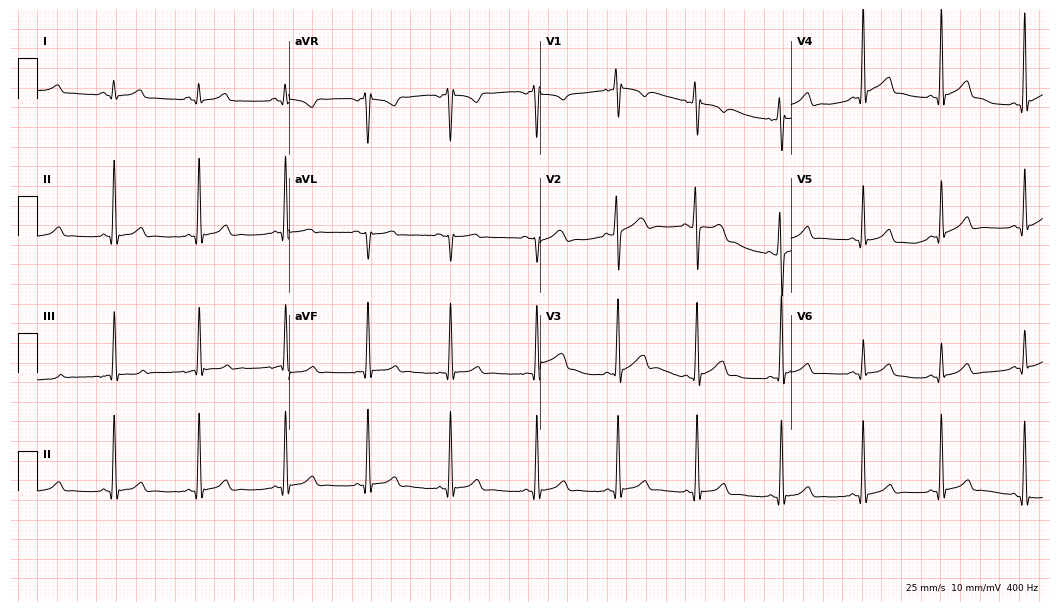
12-lead ECG from an 18-year-old male. Screened for six findings — first-degree AV block, right bundle branch block, left bundle branch block, sinus bradycardia, atrial fibrillation, sinus tachycardia — none is recorded. Only these six findings were labelled.